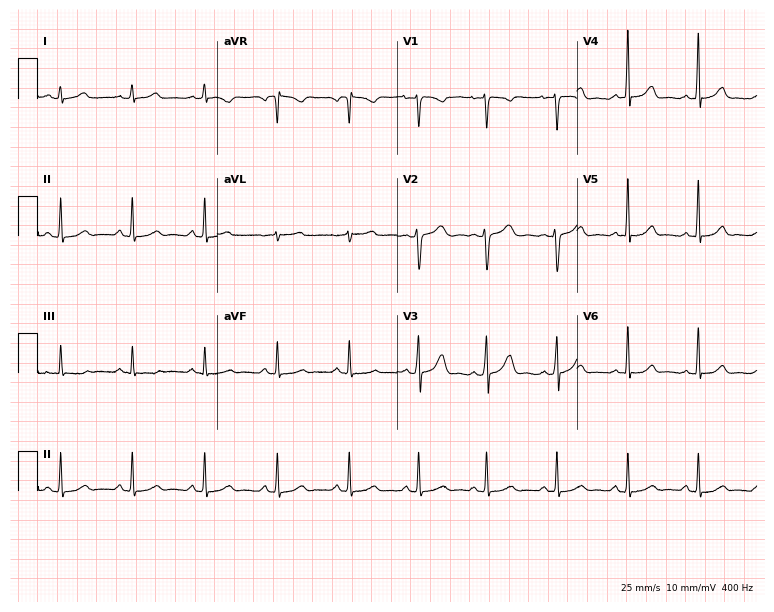
12-lead ECG from a 24-year-old woman. Labelled as a normal ECG.